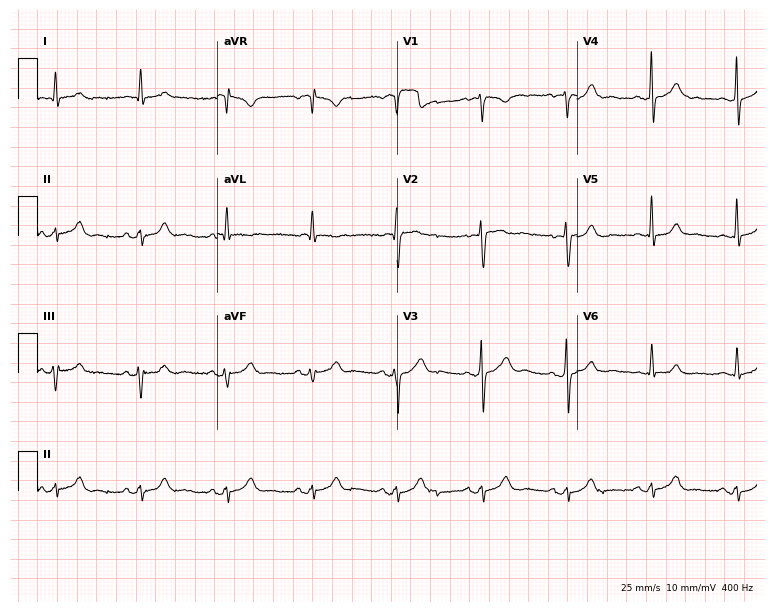
ECG — a 75-year-old man. Screened for six findings — first-degree AV block, right bundle branch block (RBBB), left bundle branch block (LBBB), sinus bradycardia, atrial fibrillation (AF), sinus tachycardia — none is recorded.